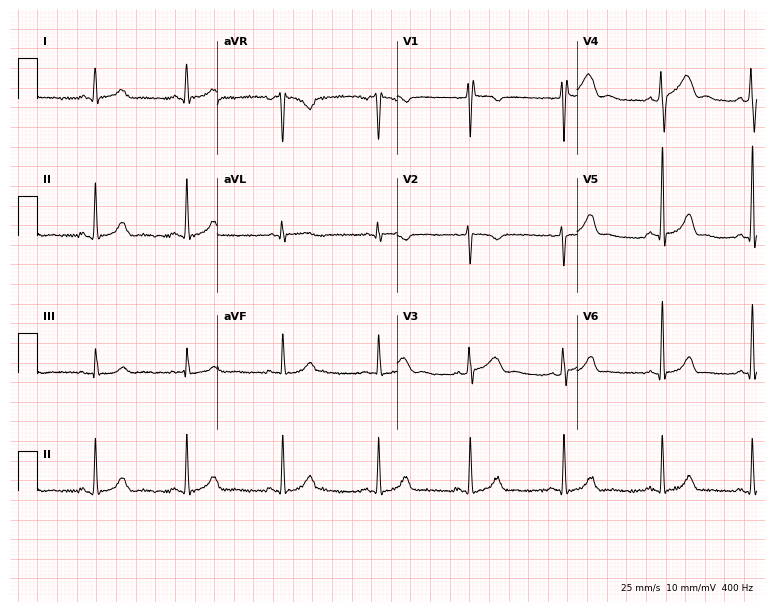
Resting 12-lead electrocardiogram (7.3-second recording at 400 Hz). Patient: a woman, 19 years old. Read as a normal ECG.